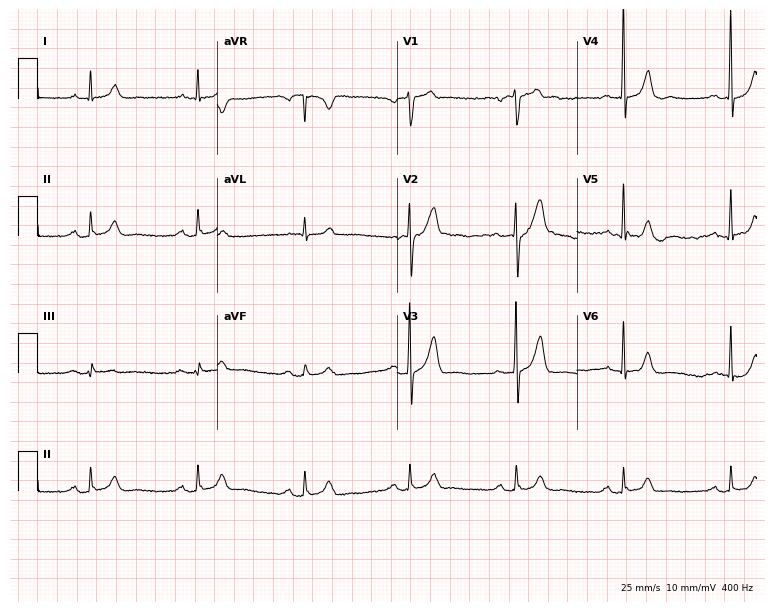
12-lead ECG from a man, 64 years old (7.3-second recording at 400 Hz). Recorded interpretation: within normal limits.